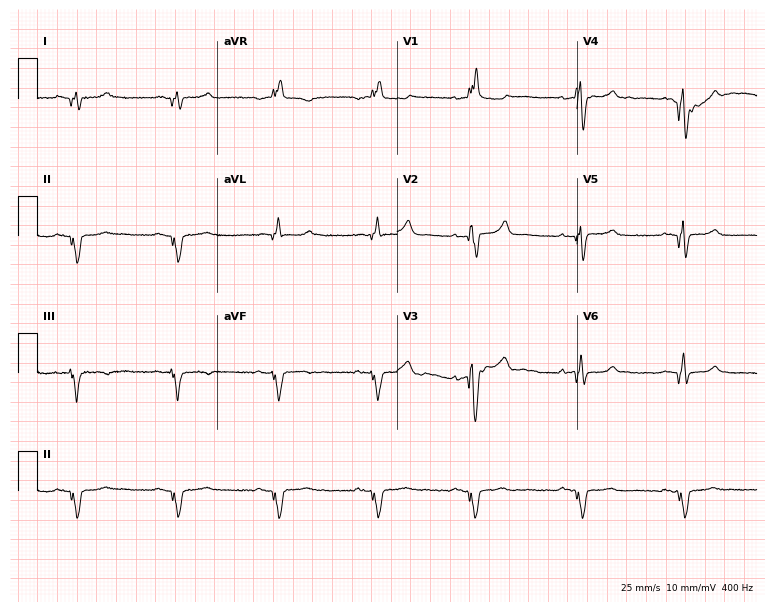
Resting 12-lead electrocardiogram (7.3-second recording at 400 Hz). Patient: a male, 61 years old. None of these six findings is recorded: first-degree AV block, right bundle branch block, left bundle branch block, sinus bradycardia, atrial fibrillation, sinus tachycardia. Only these six findings were labelled.